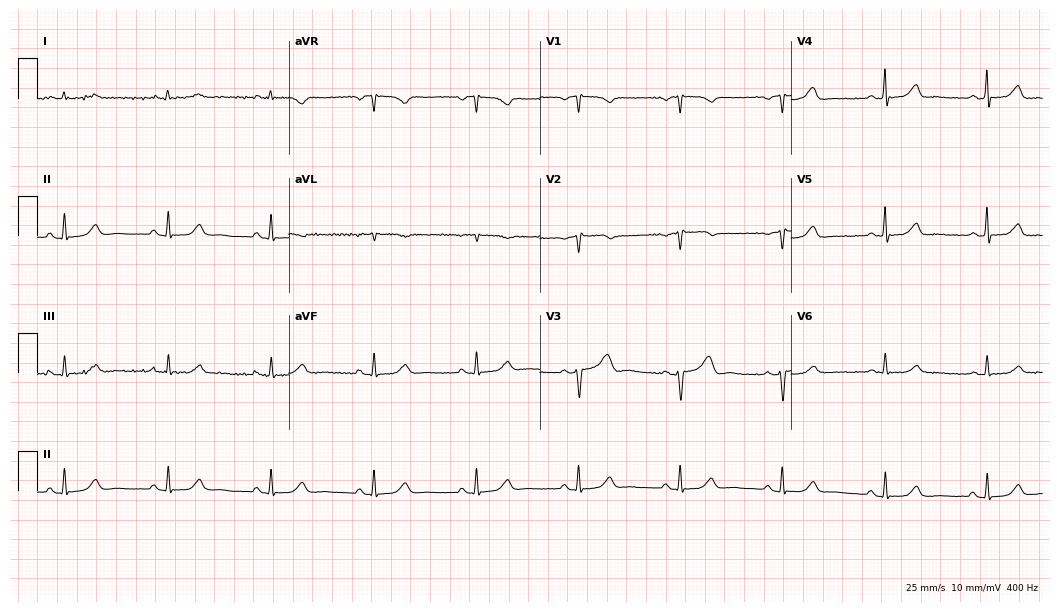
12-lead ECG from a female patient, 64 years old (10.2-second recording at 400 Hz). No first-degree AV block, right bundle branch block (RBBB), left bundle branch block (LBBB), sinus bradycardia, atrial fibrillation (AF) or sinus tachycardia recorded for this tracing.